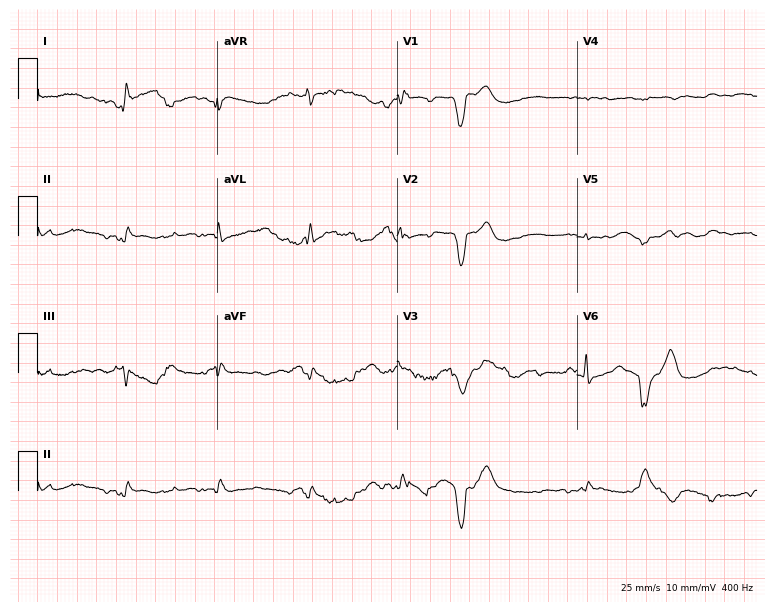
12-lead ECG (7.3-second recording at 400 Hz) from a 66-year-old woman. Screened for six findings — first-degree AV block, right bundle branch block, left bundle branch block, sinus bradycardia, atrial fibrillation, sinus tachycardia — none is recorded. Only these six findings were labelled.